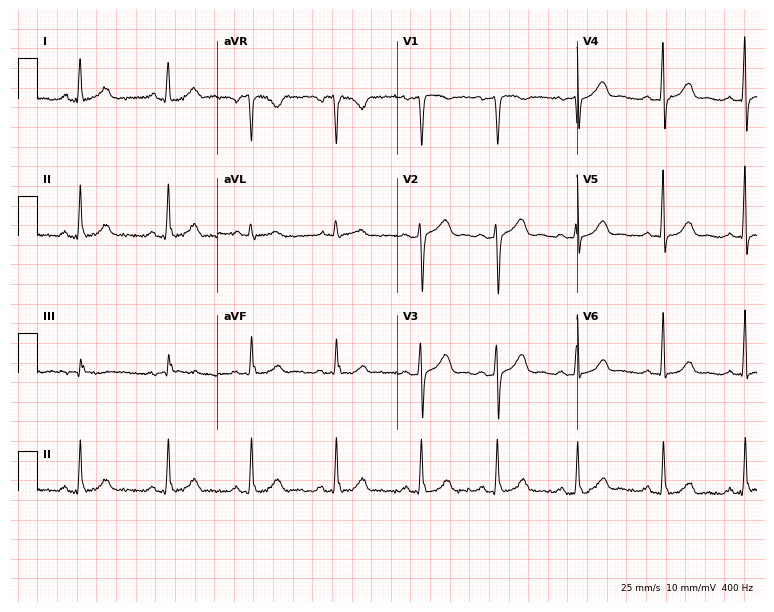
ECG (7.3-second recording at 400 Hz) — a 26-year-old woman. Screened for six findings — first-degree AV block, right bundle branch block, left bundle branch block, sinus bradycardia, atrial fibrillation, sinus tachycardia — none is recorded. Other findings, if any, are not listed.